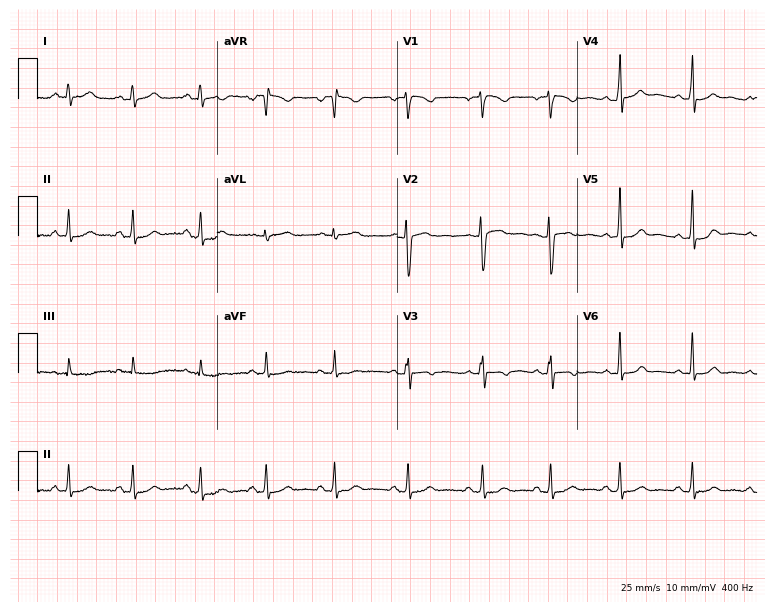
Standard 12-lead ECG recorded from a woman, 21 years old (7.3-second recording at 400 Hz). None of these six findings is recorded: first-degree AV block, right bundle branch block, left bundle branch block, sinus bradycardia, atrial fibrillation, sinus tachycardia.